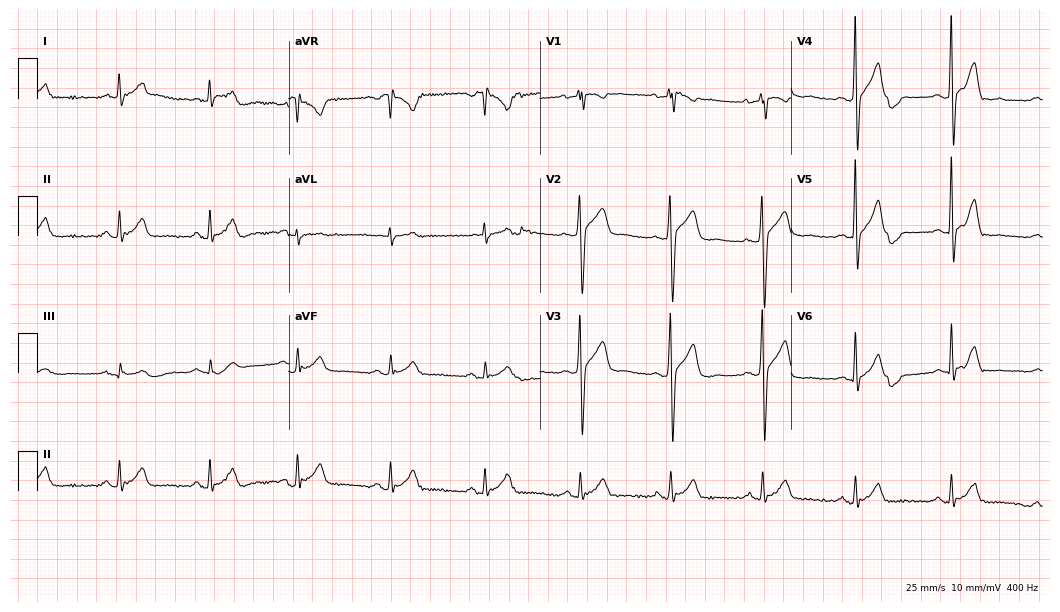
Electrocardiogram (10.2-second recording at 400 Hz), a 49-year-old man. Overall reading on record: normal ECG.